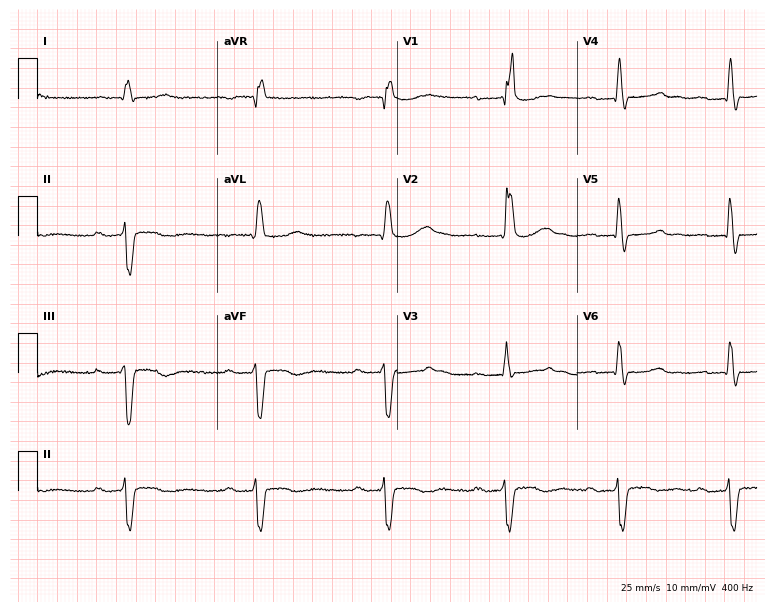
12-lead ECG from a man, 83 years old. Findings include right bundle branch block, sinus bradycardia (a sinus rate of 50 beats per minute or less).